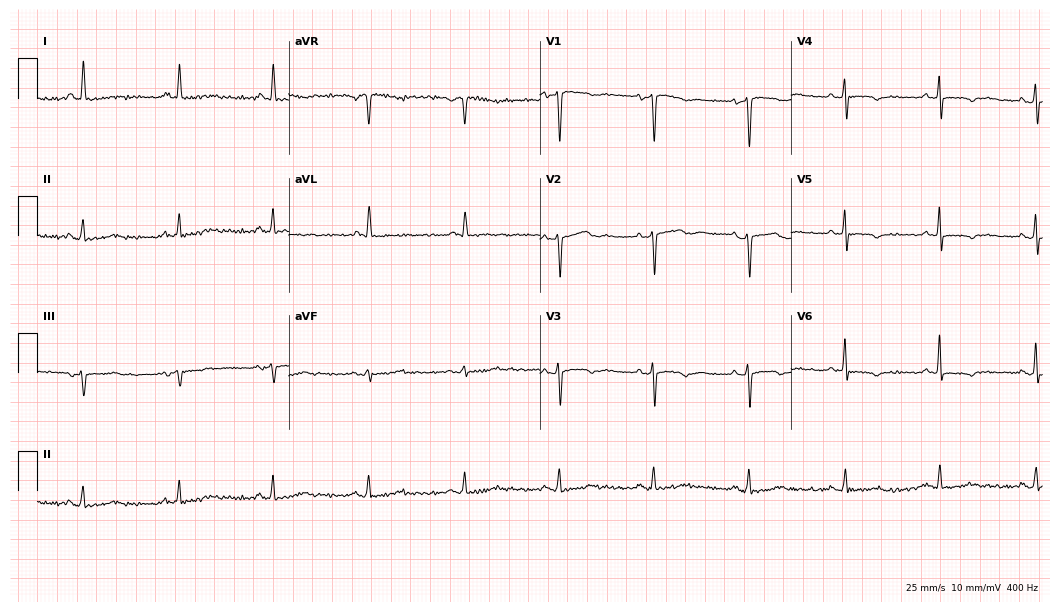
12-lead ECG from a woman, 70 years old (10.2-second recording at 400 Hz). Recorded interpretation: within normal limits.